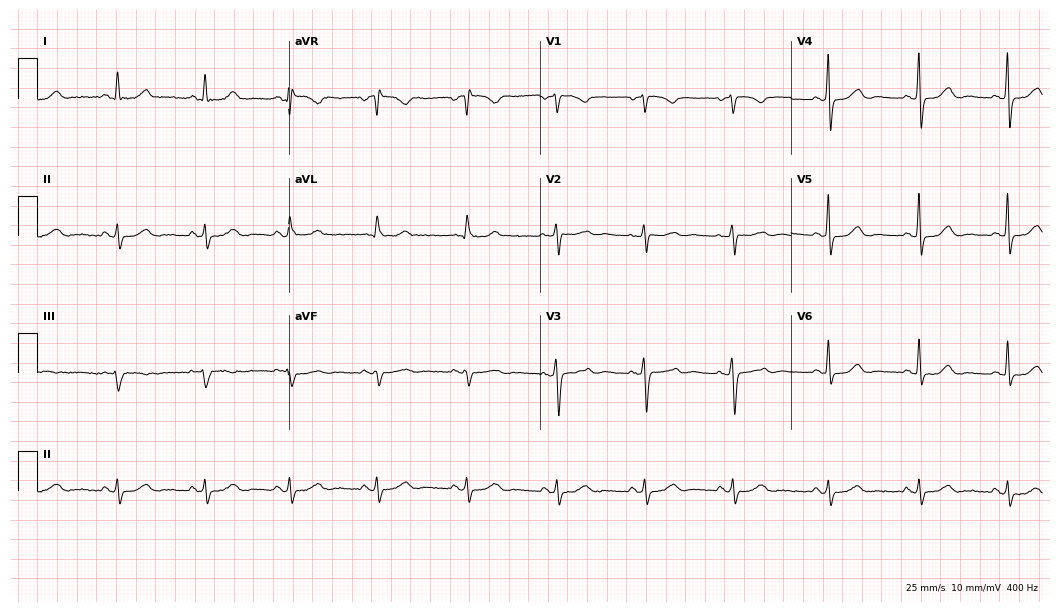
Standard 12-lead ECG recorded from a woman, 47 years old (10.2-second recording at 400 Hz). None of these six findings is recorded: first-degree AV block, right bundle branch block, left bundle branch block, sinus bradycardia, atrial fibrillation, sinus tachycardia. Only these six findings were labelled.